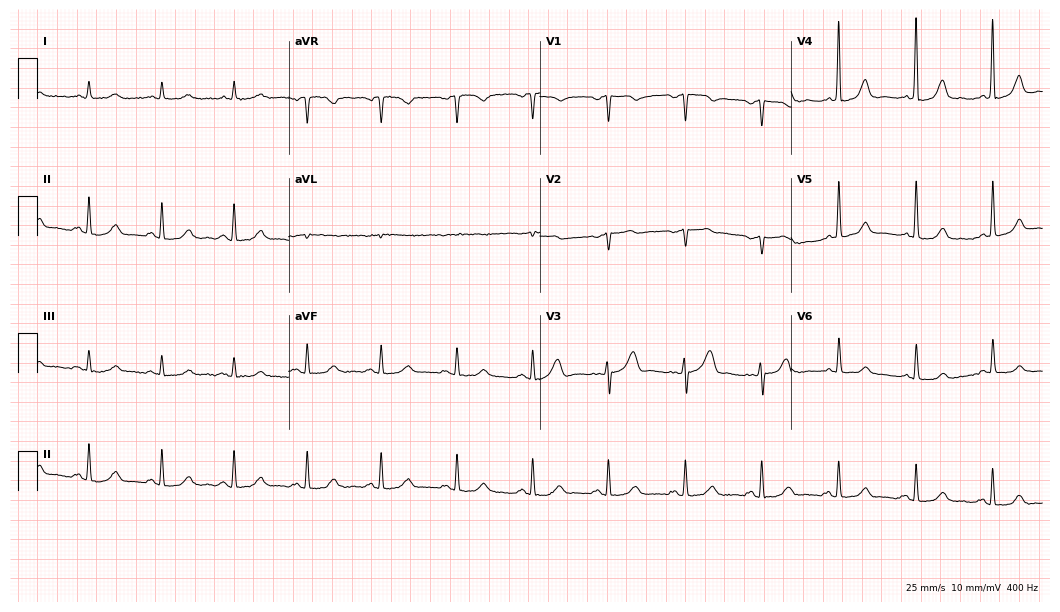
Resting 12-lead electrocardiogram (10.2-second recording at 400 Hz). Patient: a 66-year-old male. Read as a normal ECG.